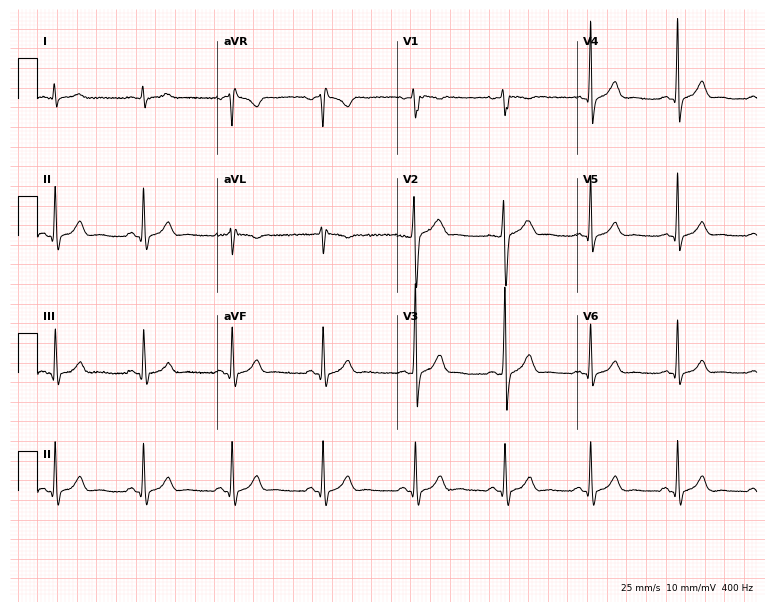
ECG — a man, 22 years old. Labelled as a normal ECG.